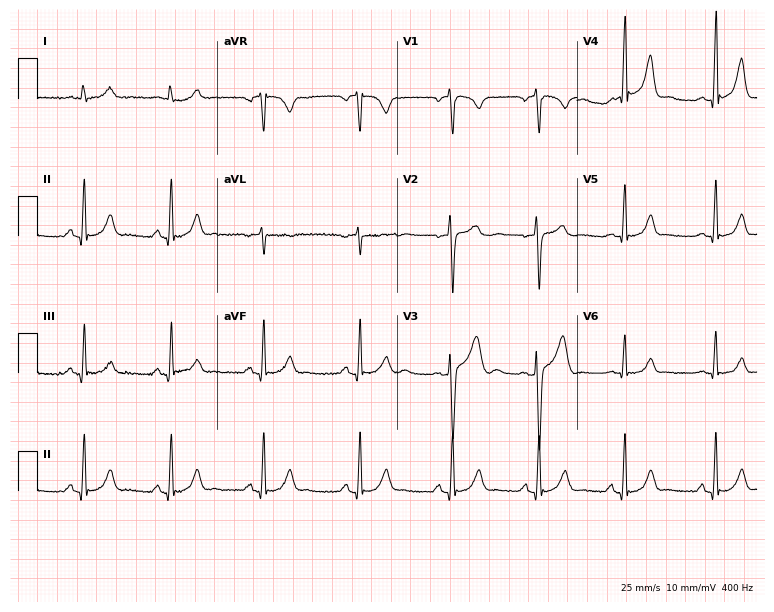
12-lead ECG from a 30-year-old male patient (7.3-second recording at 400 Hz). No first-degree AV block, right bundle branch block, left bundle branch block, sinus bradycardia, atrial fibrillation or sinus tachycardia recorded for this tracing. Other findings, if any, are not listed.